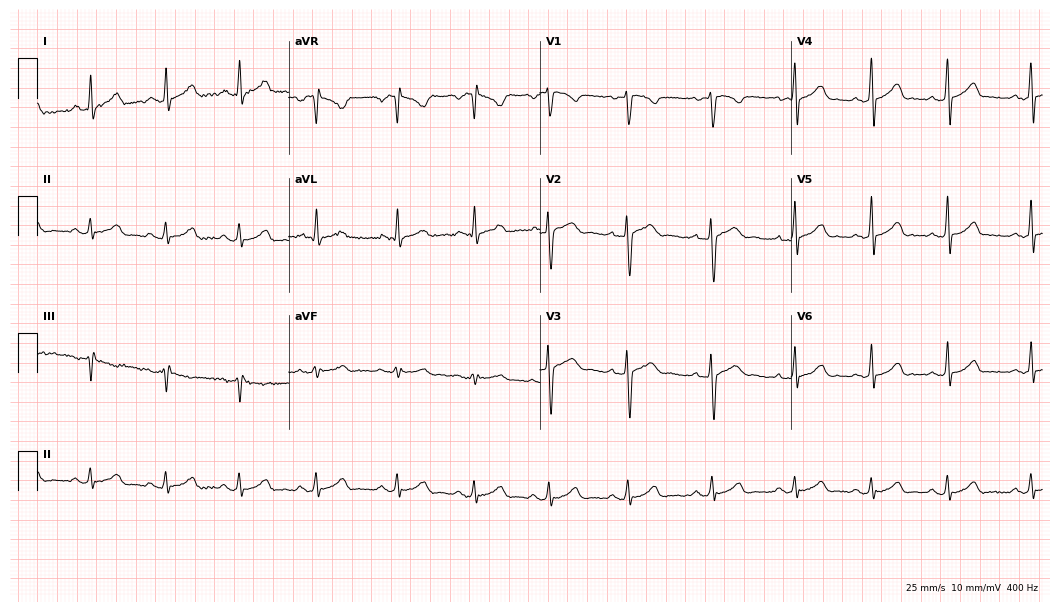
ECG — a female, 21 years old. Labelled as a normal ECG.